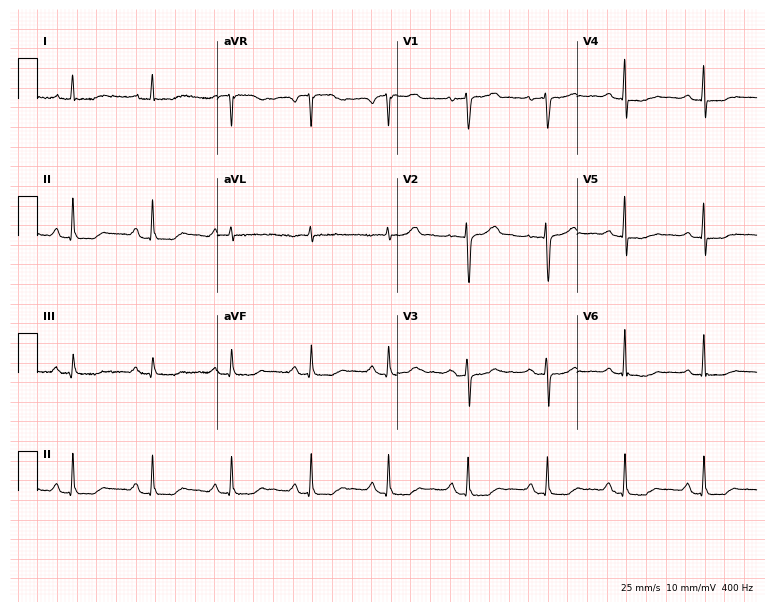
Standard 12-lead ECG recorded from a female patient, 53 years old (7.3-second recording at 400 Hz). None of these six findings is recorded: first-degree AV block, right bundle branch block, left bundle branch block, sinus bradycardia, atrial fibrillation, sinus tachycardia. Other findings, if any, are not listed.